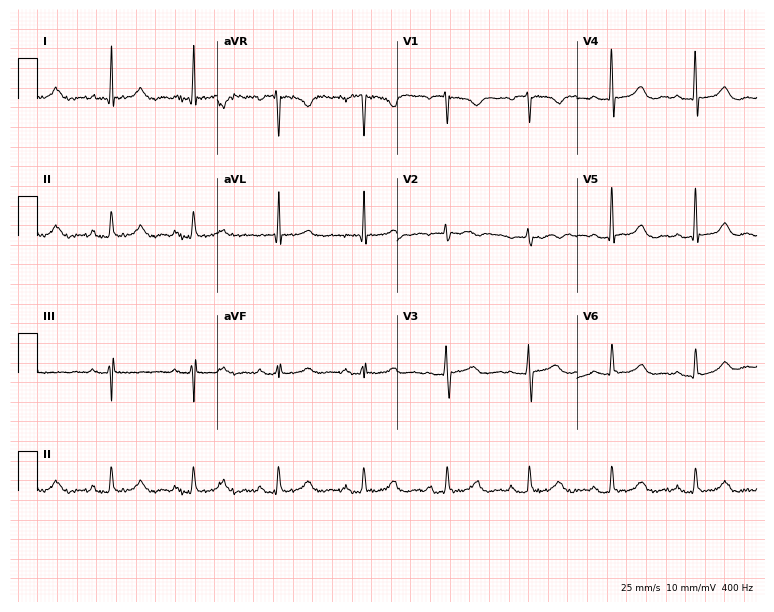
Resting 12-lead electrocardiogram. Patient: a 79-year-old female. None of these six findings is recorded: first-degree AV block, right bundle branch block, left bundle branch block, sinus bradycardia, atrial fibrillation, sinus tachycardia.